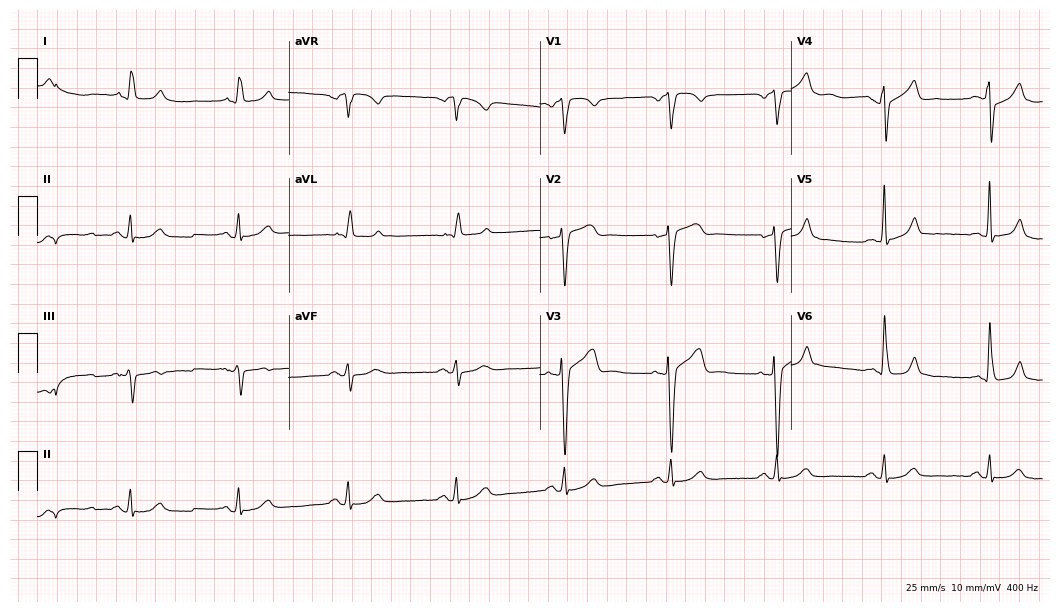
12-lead ECG from a 70-year-old man. Screened for six findings — first-degree AV block, right bundle branch block, left bundle branch block, sinus bradycardia, atrial fibrillation, sinus tachycardia — none is recorded. Other findings, if any, are not listed.